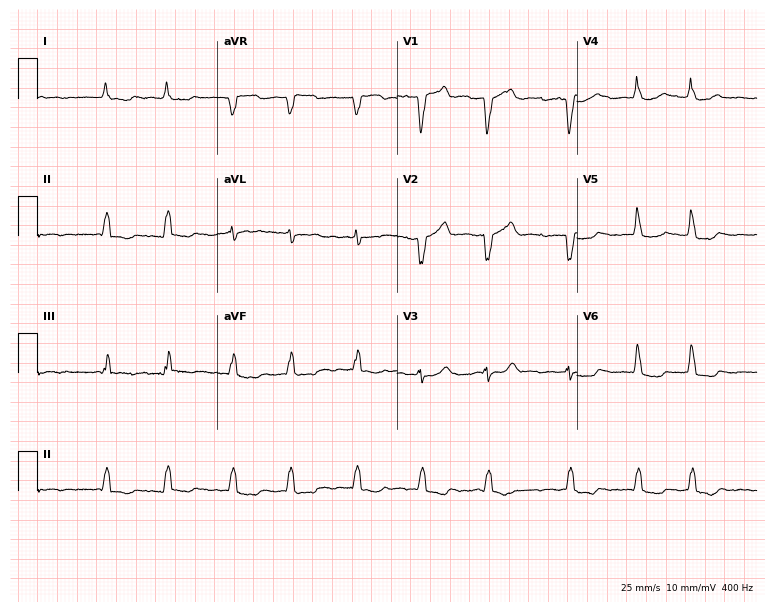
Electrocardiogram, a 75-year-old male. Interpretation includes atrial fibrillation.